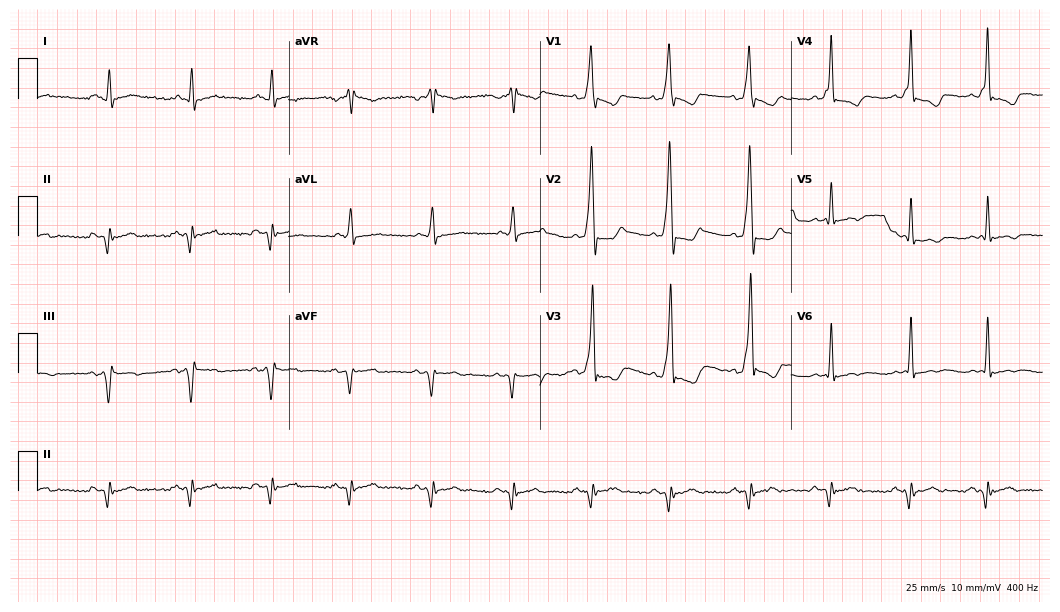
ECG — a man, 42 years old. Screened for six findings — first-degree AV block, right bundle branch block, left bundle branch block, sinus bradycardia, atrial fibrillation, sinus tachycardia — none is recorded.